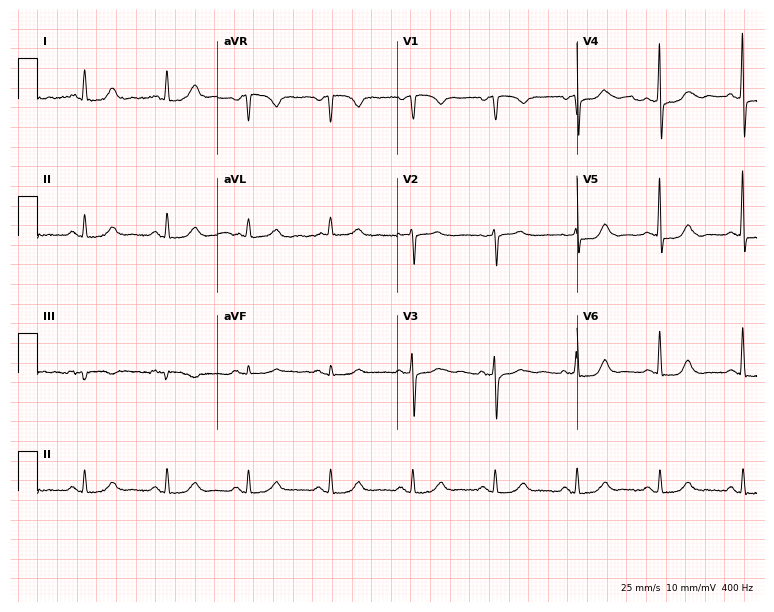
Standard 12-lead ECG recorded from a 69-year-old woman (7.3-second recording at 400 Hz). None of these six findings is recorded: first-degree AV block, right bundle branch block (RBBB), left bundle branch block (LBBB), sinus bradycardia, atrial fibrillation (AF), sinus tachycardia. Only these six findings were labelled.